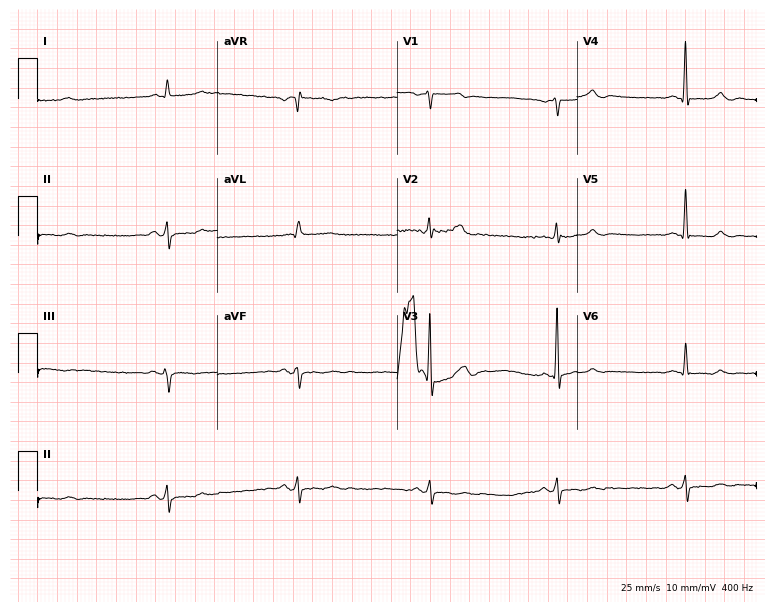
Resting 12-lead electrocardiogram (7.3-second recording at 400 Hz). Patient: a 60-year-old man. None of these six findings is recorded: first-degree AV block, right bundle branch block (RBBB), left bundle branch block (LBBB), sinus bradycardia, atrial fibrillation (AF), sinus tachycardia. Other findings, if any, are not listed.